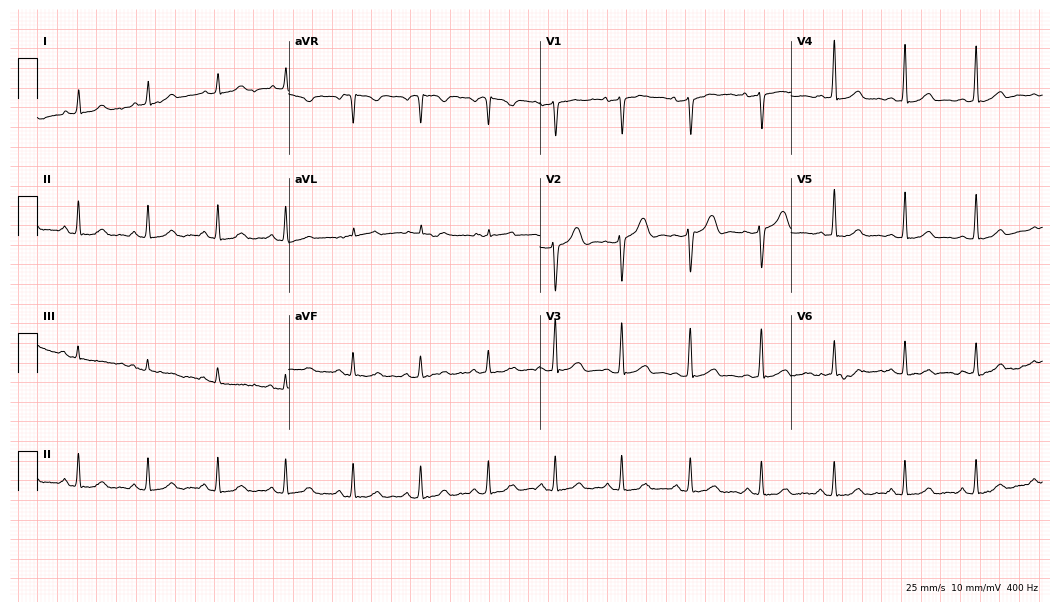
Resting 12-lead electrocardiogram. Patient: a 31-year-old female. Read as a normal ECG.